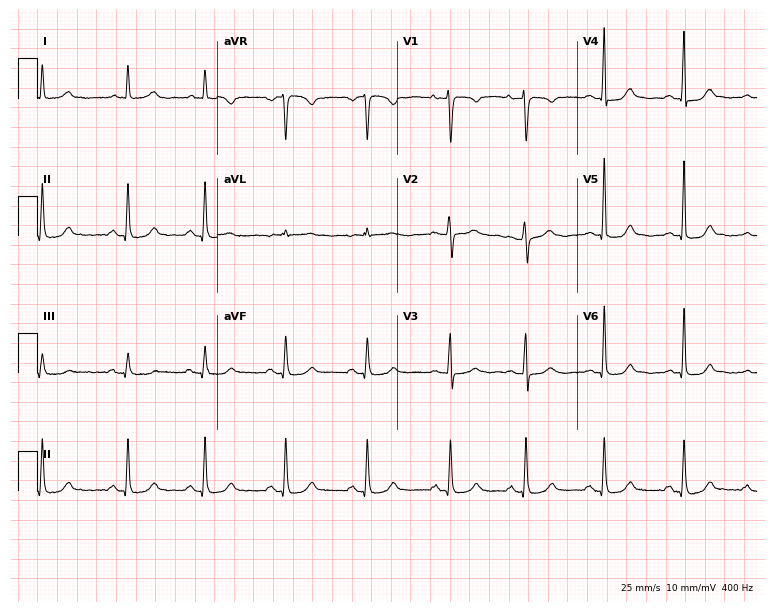
Electrocardiogram, a female, 46 years old. Overall reading on record: normal ECG.